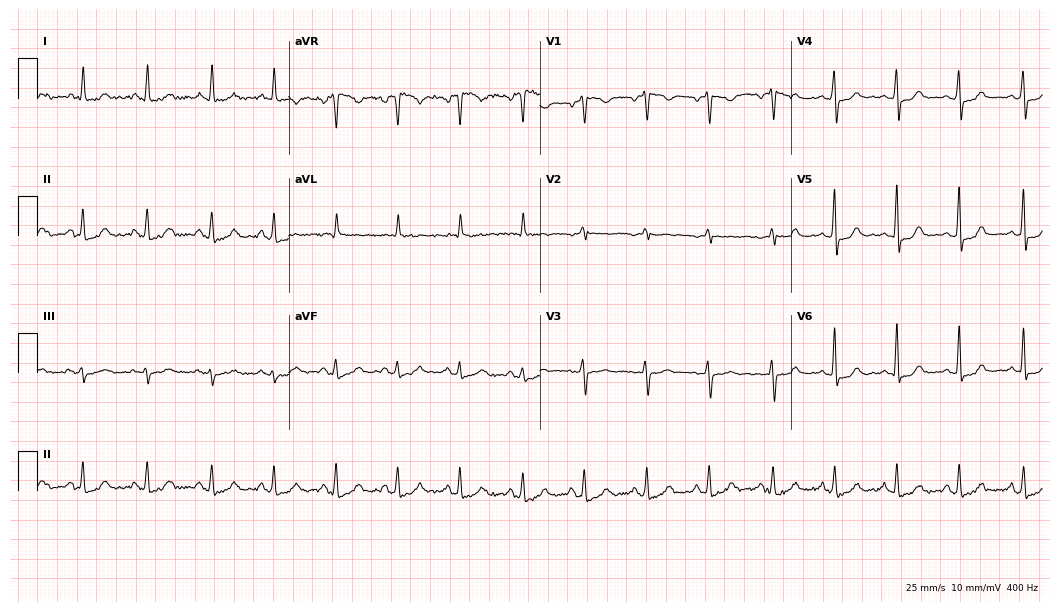
12-lead ECG from a woman, 61 years old. Recorded interpretation: within normal limits.